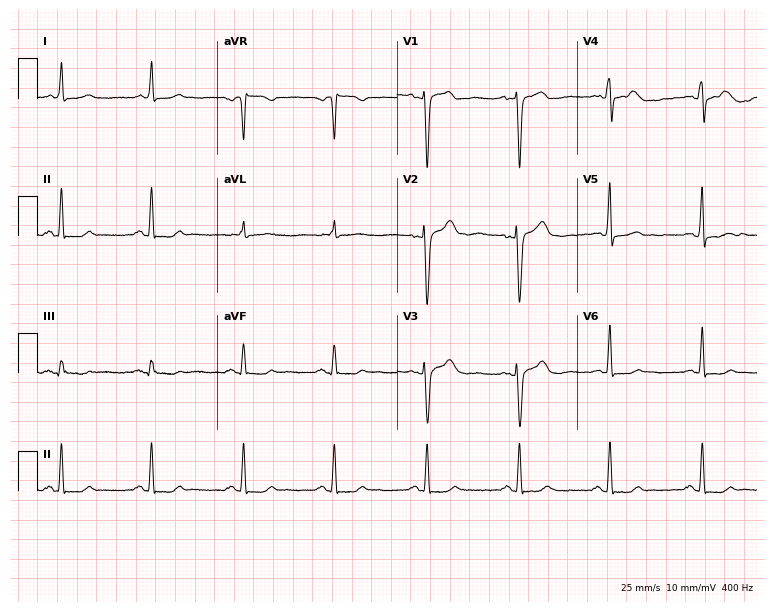
12-lead ECG from a woman, 50 years old. Recorded interpretation: within normal limits.